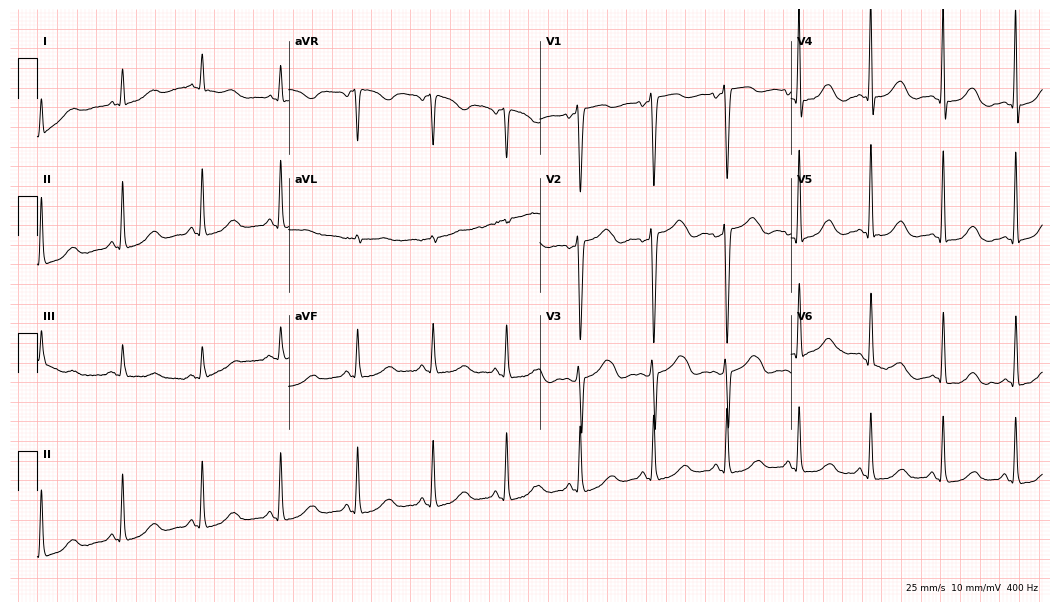
ECG (10.2-second recording at 400 Hz) — a 33-year-old female. Screened for six findings — first-degree AV block, right bundle branch block (RBBB), left bundle branch block (LBBB), sinus bradycardia, atrial fibrillation (AF), sinus tachycardia — none is recorded.